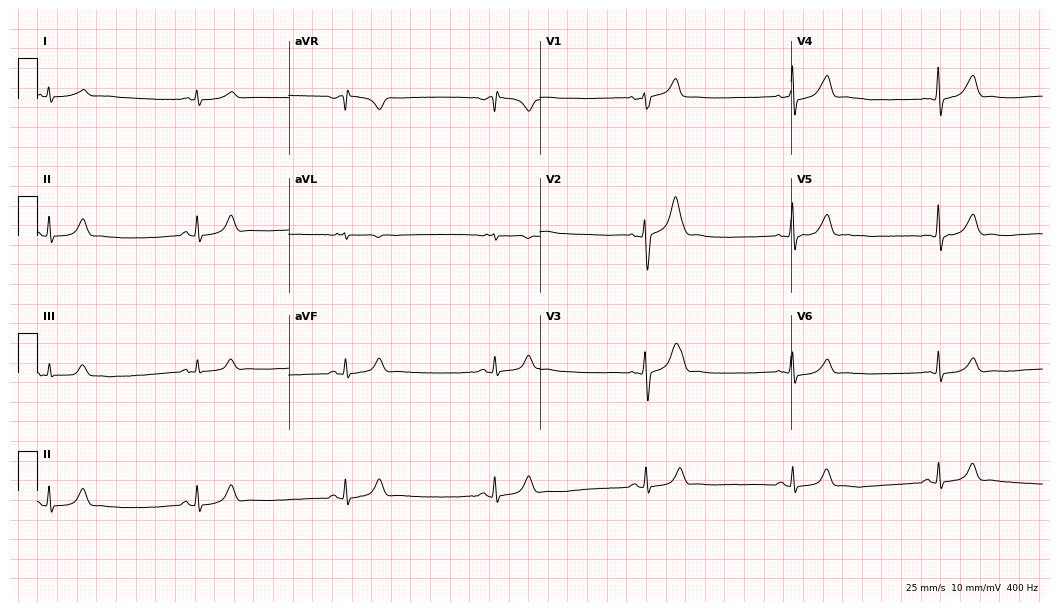
ECG (10.2-second recording at 400 Hz) — a man, 49 years old. Screened for six findings — first-degree AV block, right bundle branch block, left bundle branch block, sinus bradycardia, atrial fibrillation, sinus tachycardia — none is recorded.